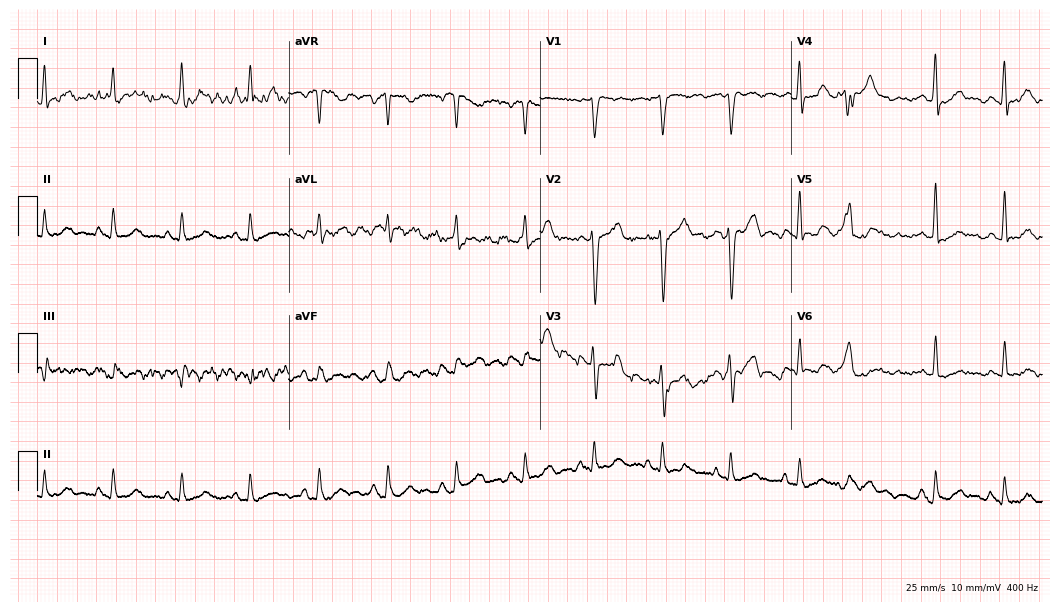
ECG (10.2-second recording at 400 Hz) — a man, 57 years old. Screened for six findings — first-degree AV block, right bundle branch block (RBBB), left bundle branch block (LBBB), sinus bradycardia, atrial fibrillation (AF), sinus tachycardia — none is recorded. Only these six findings were labelled.